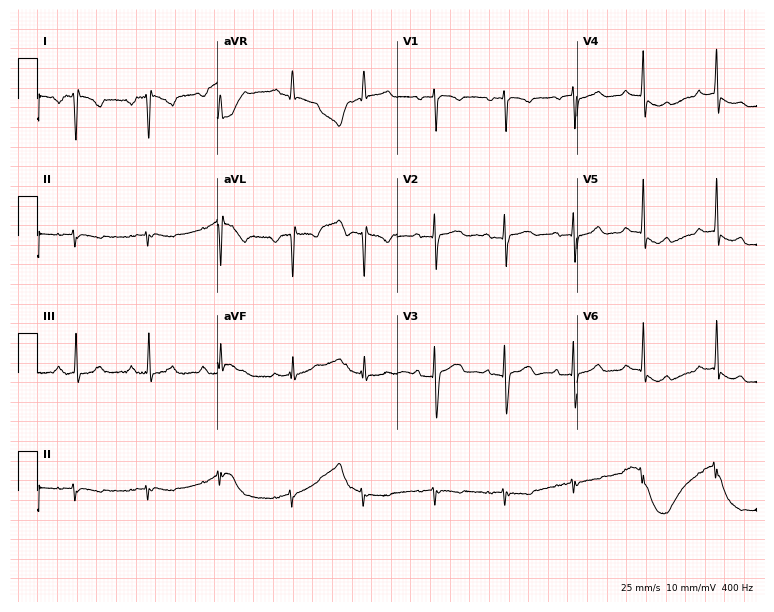
ECG — a woman, 24 years old. Screened for six findings — first-degree AV block, right bundle branch block, left bundle branch block, sinus bradycardia, atrial fibrillation, sinus tachycardia — none is recorded. Only these six findings were labelled.